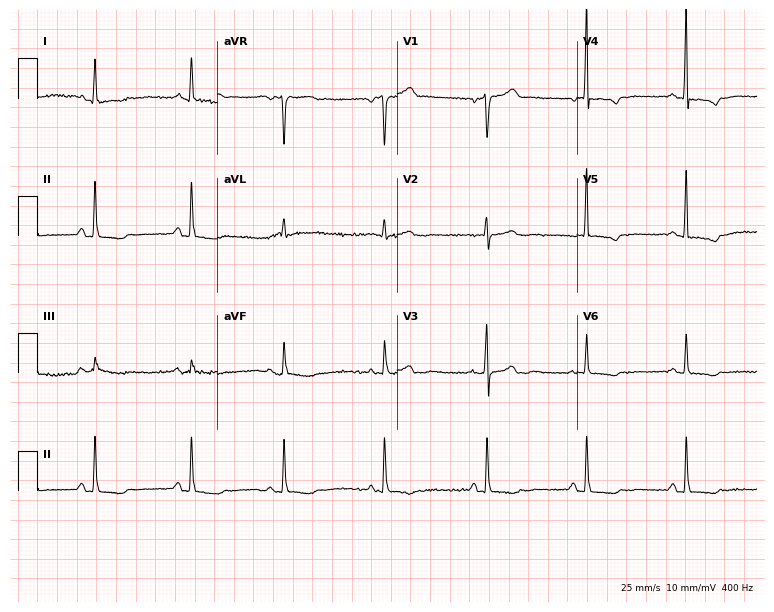
Resting 12-lead electrocardiogram. Patient: a 65-year-old woman. None of these six findings is recorded: first-degree AV block, right bundle branch block, left bundle branch block, sinus bradycardia, atrial fibrillation, sinus tachycardia. Only these six findings were labelled.